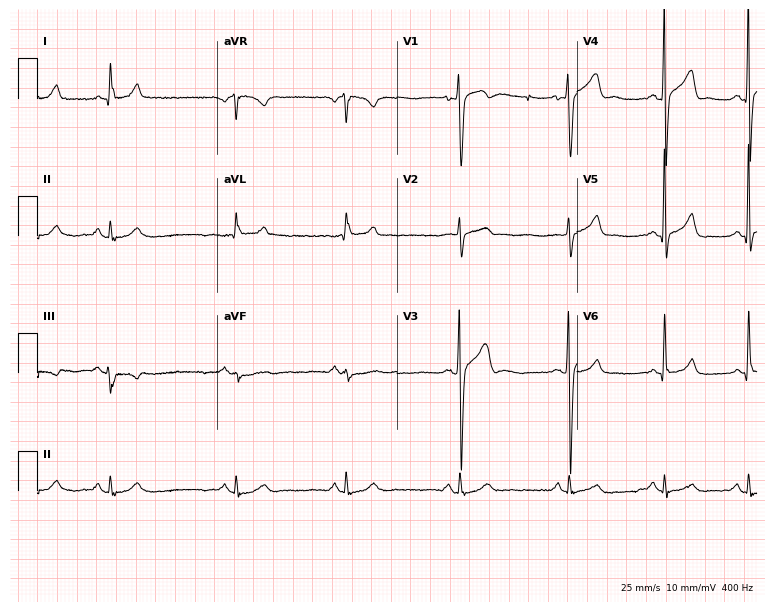
Resting 12-lead electrocardiogram. Patient: a man, 47 years old. None of these six findings is recorded: first-degree AV block, right bundle branch block, left bundle branch block, sinus bradycardia, atrial fibrillation, sinus tachycardia.